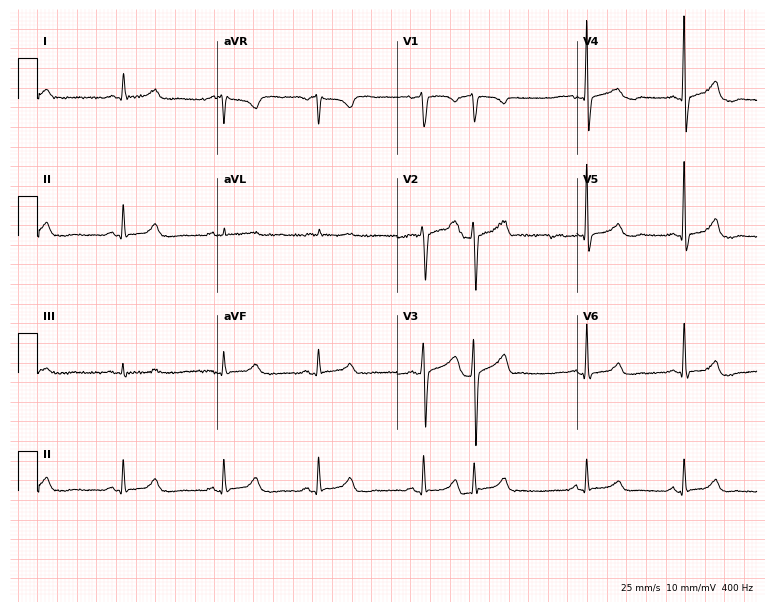
Standard 12-lead ECG recorded from a female, 64 years old. Read as a normal ECG.